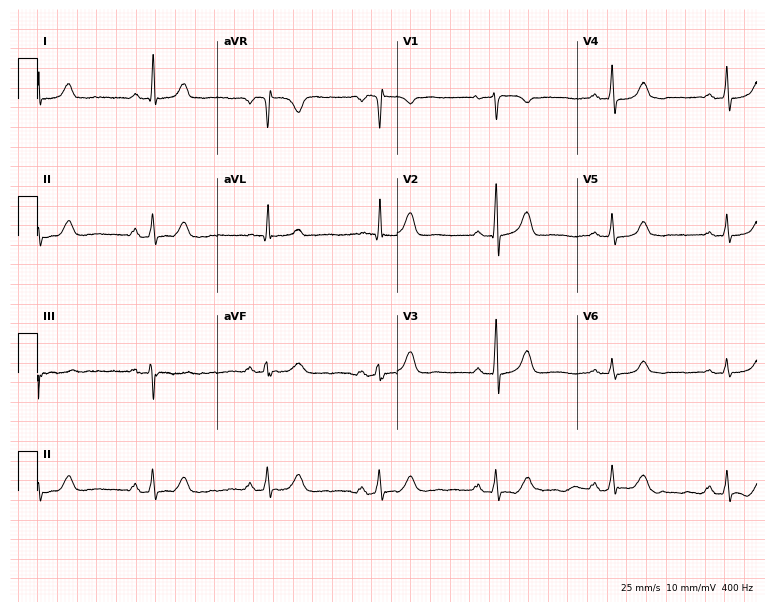
Resting 12-lead electrocardiogram. Patient: a woman, 78 years old. Read as a normal ECG.